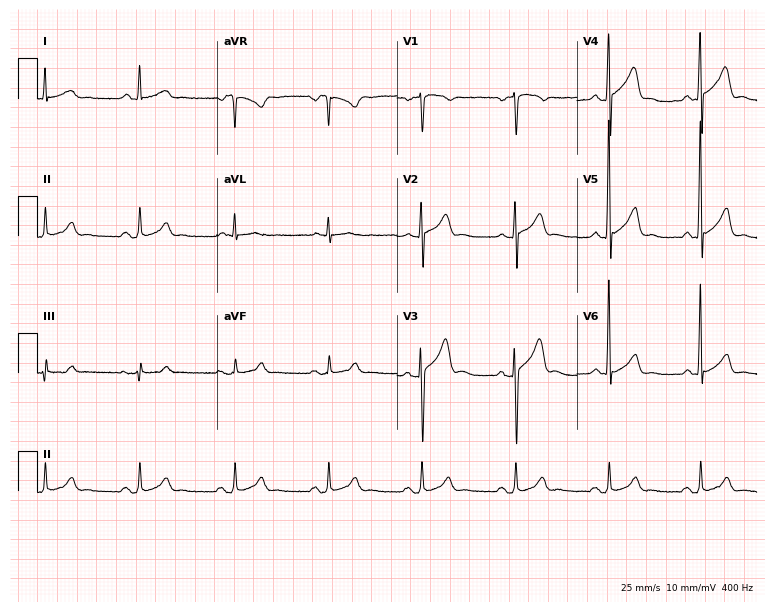
ECG — a 45-year-old male. Labelled as a normal ECG.